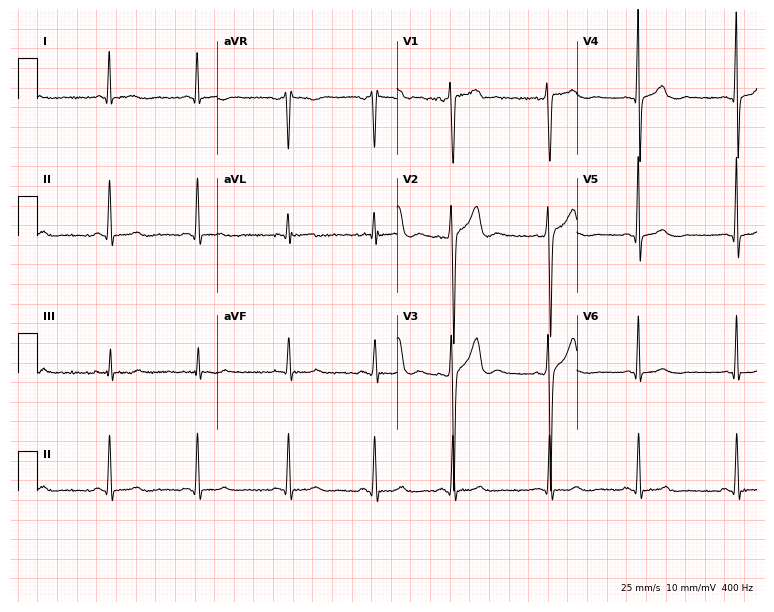
12-lead ECG from a man, 19 years old. No first-degree AV block, right bundle branch block, left bundle branch block, sinus bradycardia, atrial fibrillation or sinus tachycardia recorded for this tracing. Only these six findings were labelled.